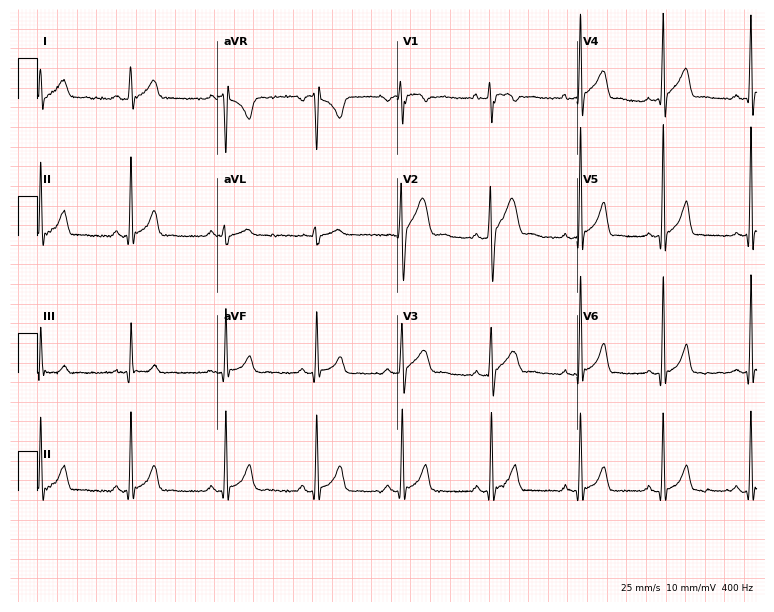
Standard 12-lead ECG recorded from a man, 19 years old. Read as a normal ECG.